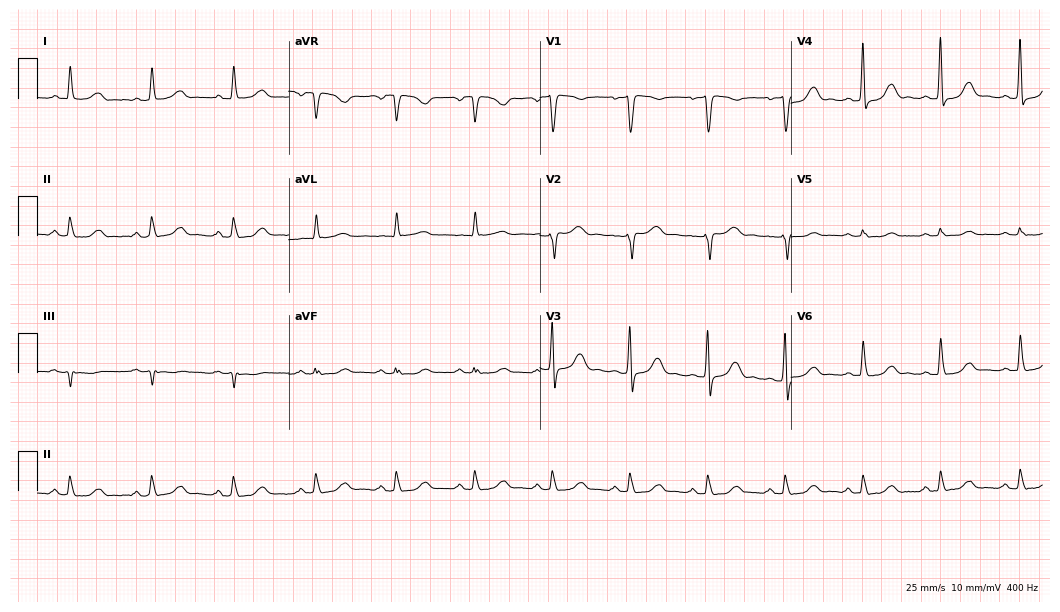
ECG (10.2-second recording at 400 Hz) — a 67-year-old female. Labelled as a normal ECG.